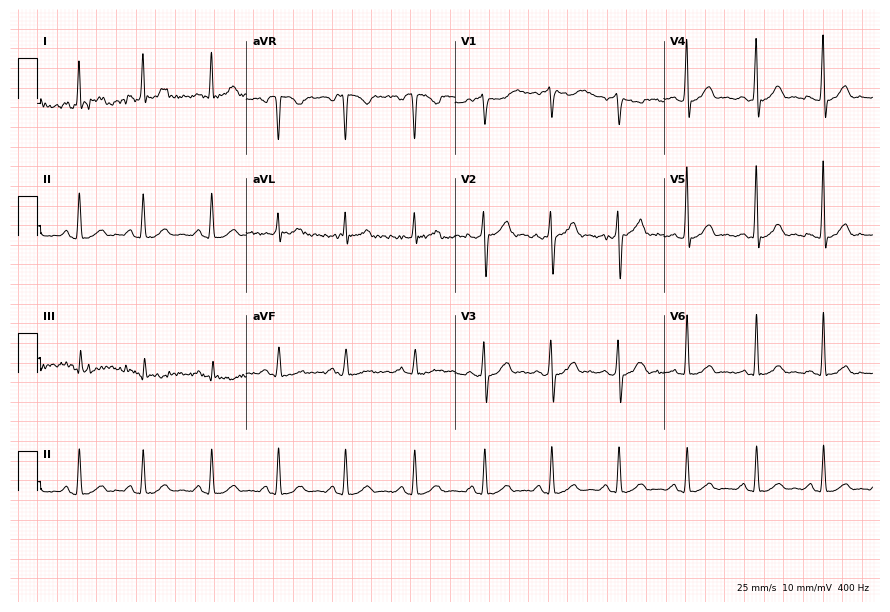
12-lead ECG from a male, 38 years old (8.5-second recording at 400 Hz). Recorded interpretation: within normal limits.